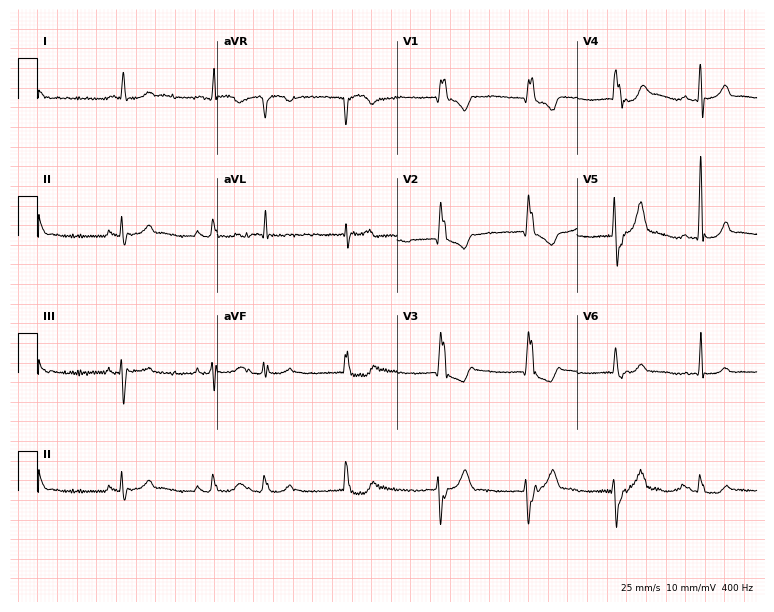
12-lead ECG from an 80-year-old female. No first-degree AV block, right bundle branch block, left bundle branch block, sinus bradycardia, atrial fibrillation or sinus tachycardia recorded for this tracing.